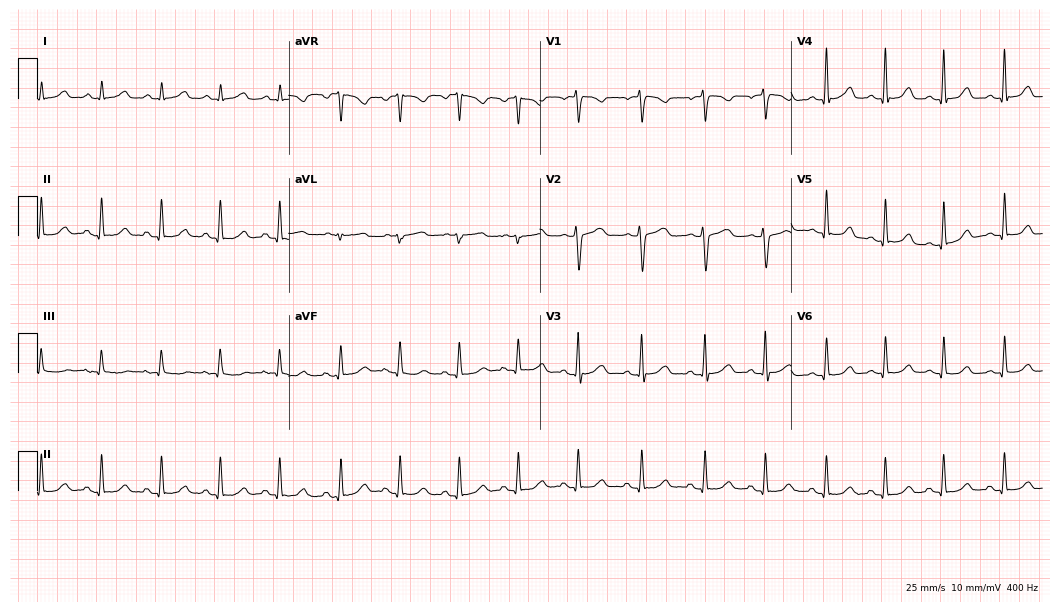
Electrocardiogram (10.2-second recording at 400 Hz), a 28-year-old female. Of the six screened findings (first-degree AV block, right bundle branch block, left bundle branch block, sinus bradycardia, atrial fibrillation, sinus tachycardia), none is recorded.